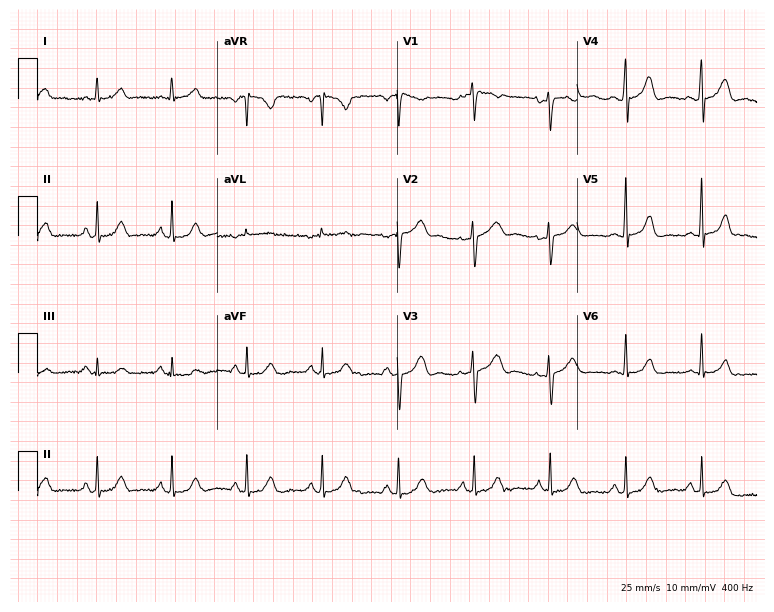
12-lead ECG (7.3-second recording at 400 Hz) from a woman, 47 years old. Screened for six findings — first-degree AV block, right bundle branch block (RBBB), left bundle branch block (LBBB), sinus bradycardia, atrial fibrillation (AF), sinus tachycardia — none is recorded. Findings outside these six are not listed.